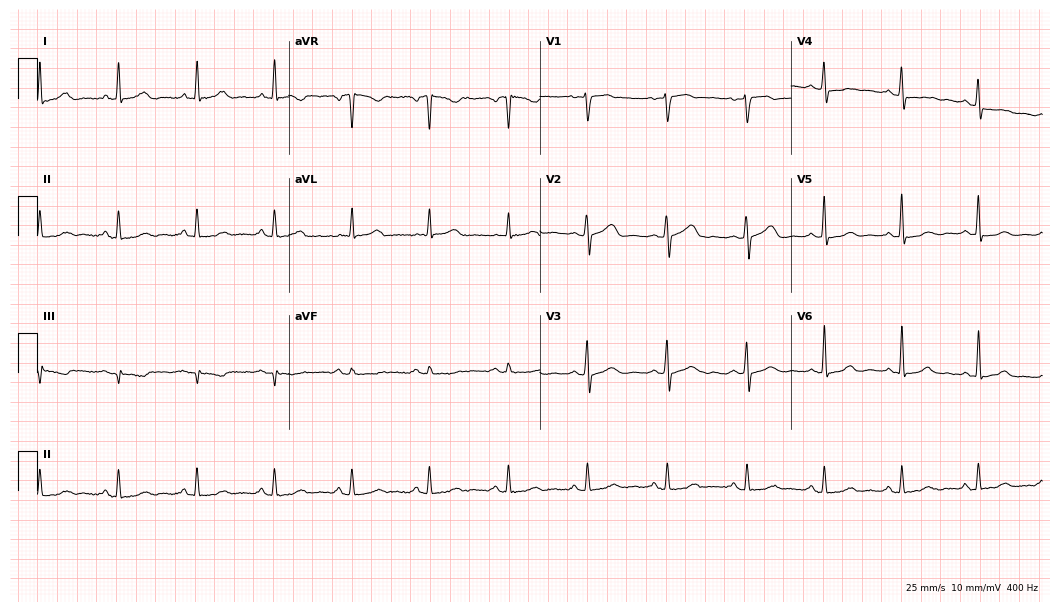
Resting 12-lead electrocardiogram (10.2-second recording at 400 Hz). Patient: a female, 61 years old. None of these six findings is recorded: first-degree AV block, right bundle branch block, left bundle branch block, sinus bradycardia, atrial fibrillation, sinus tachycardia.